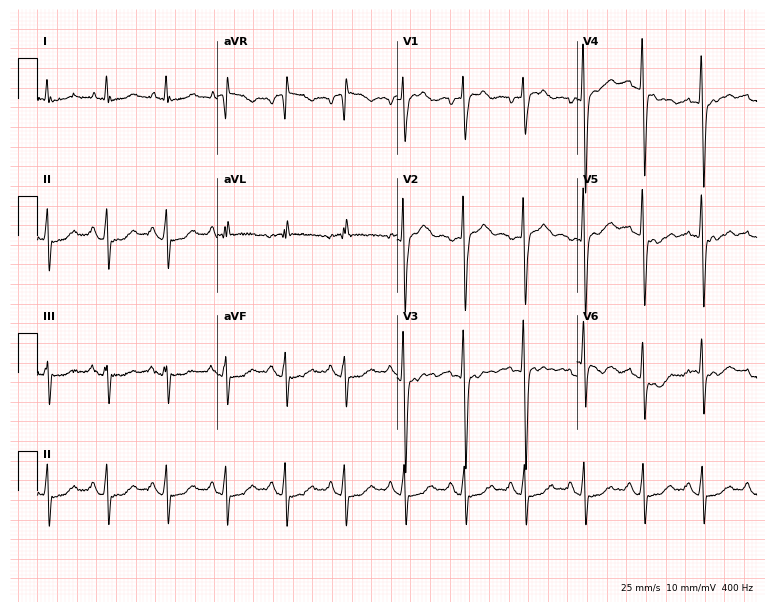
12-lead ECG from a female patient, 54 years old (7.3-second recording at 400 Hz). No first-degree AV block, right bundle branch block (RBBB), left bundle branch block (LBBB), sinus bradycardia, atrial fibrillation (AF) or sinus tachycardia recorded for this tracing. Findings outside these six are not listed.